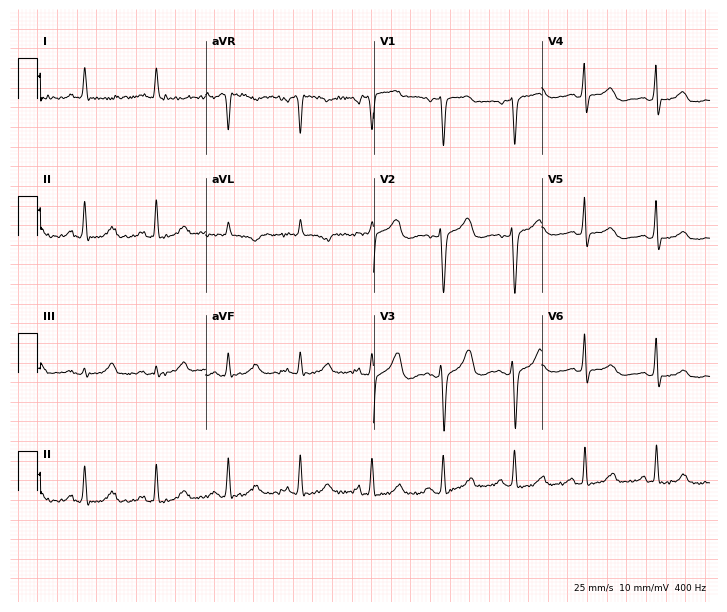
Electrocardiogram, a woman, 57 years old. Of the six screened findings (first-degree AV block, right bundle branch block, left bundle branch block, sinus bradycardia, atrial fibrillation, sinus tachycardia), none is recorded. Other findings, if any, are not listed.